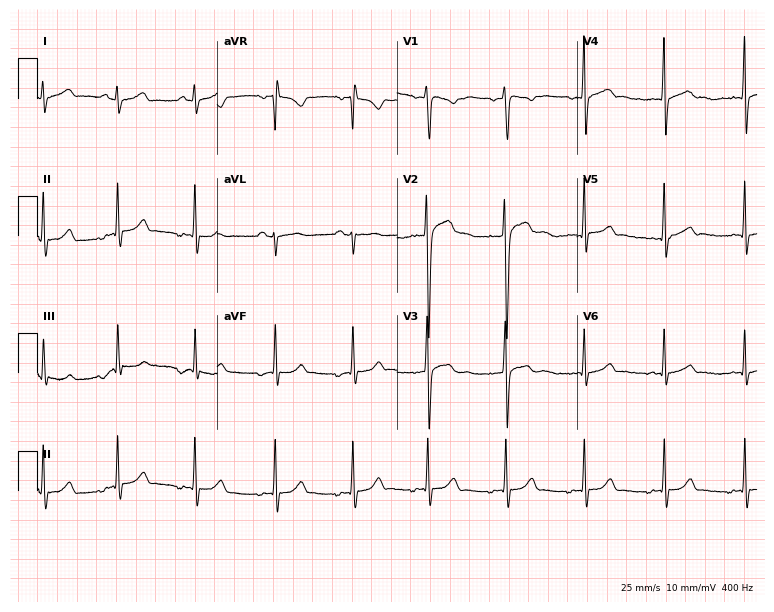
Standard 12-lead ECG recorded from a male, 17 years old (7.3-second recording at 400 Hz). None of these six findings is recorded: first-degree AV block, right bundle branch block, left bundle branch block, sinus bradycardia, atrial fibrillation, sinus tachycardia.